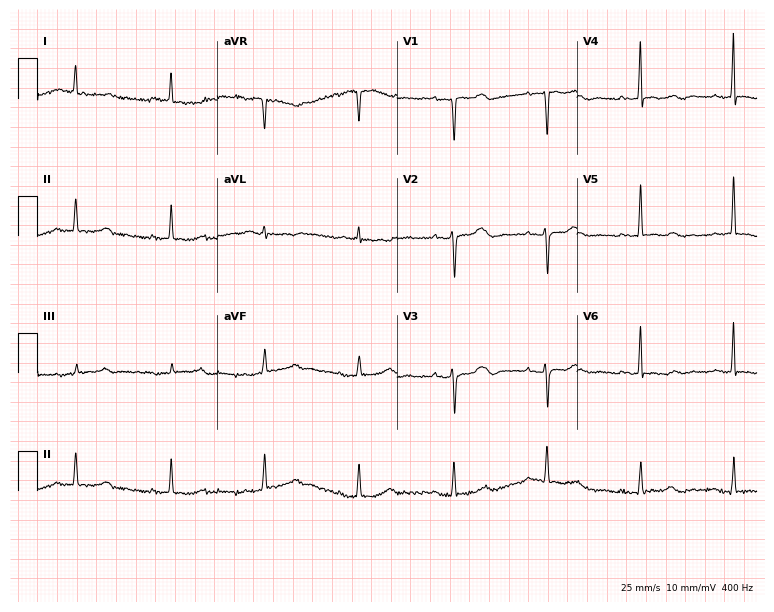
Standard 12-lead ECG recorded from a female patient, 74 years old. Read as a normal ECG.